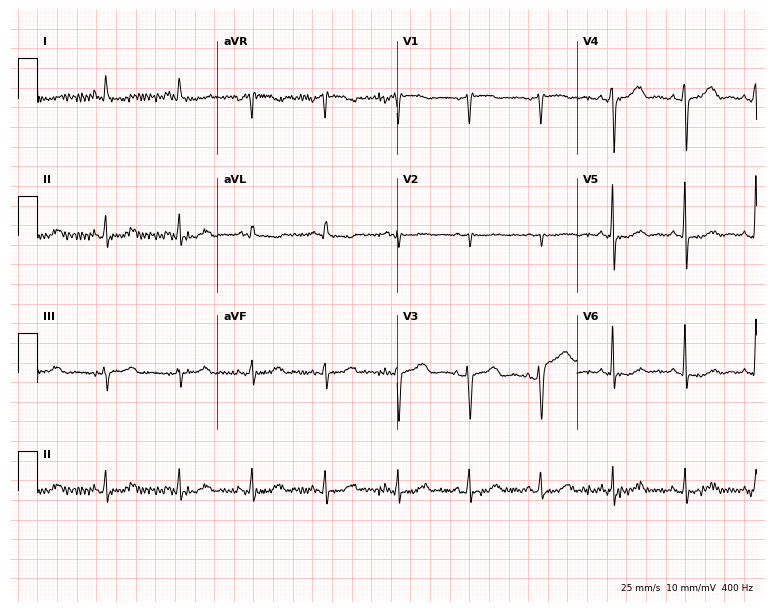
Resting 12-lead electrocardiogram. Patient: a female, 68 years old. None of these six findings is recorded: first-degree AV block, right bundle branch block, left bundle branch block, sinus bradycardia, atrial fibrillation, sinus tachycardia.